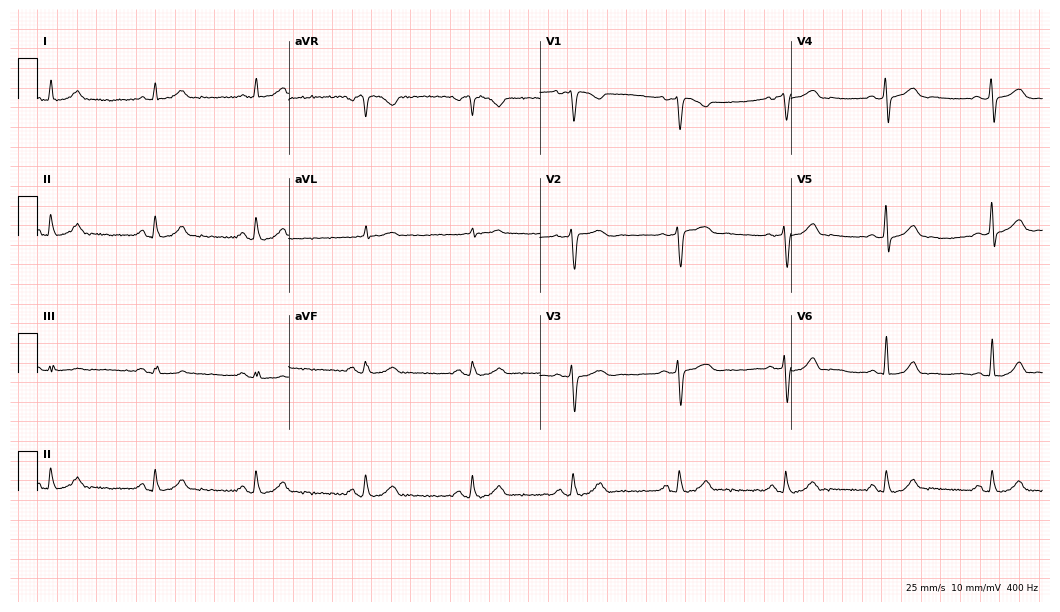
12-lead ECG (10.2-second recording at 400 Hz) from a 41-year-old female patient. Labelled as a normal ECG.